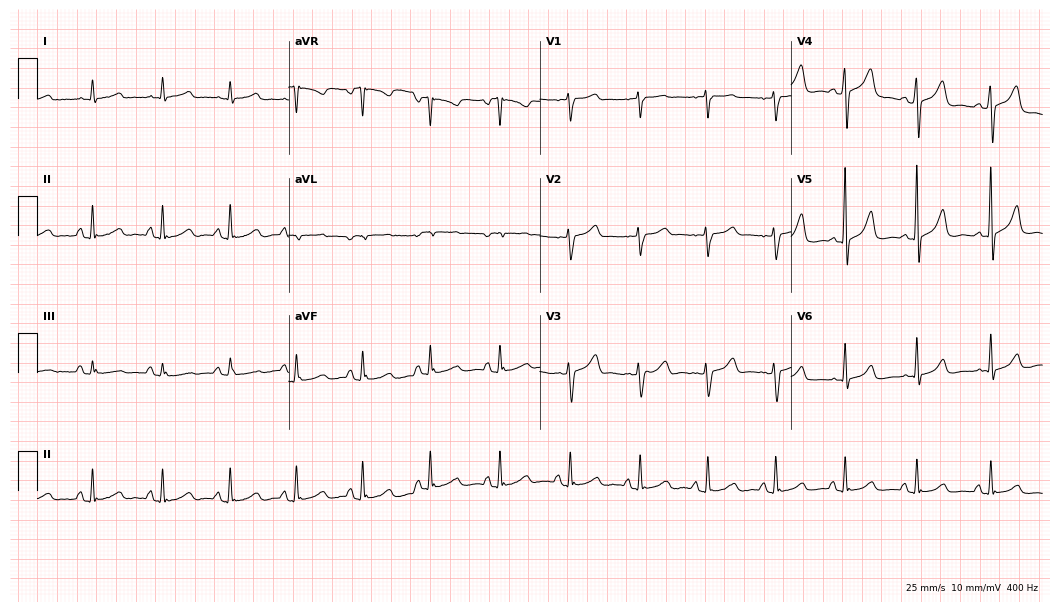
Electrocardiogram (10.2-second recording at 400 Hz), a woman, 56 years old. Of the six screened findings (first-degree AV block, right bundle branch block (RBBB), left bundle branch block (LBBB), sinus bradycardia, atrial fibrillation (AF), sinus tachycardia), none is recorded.